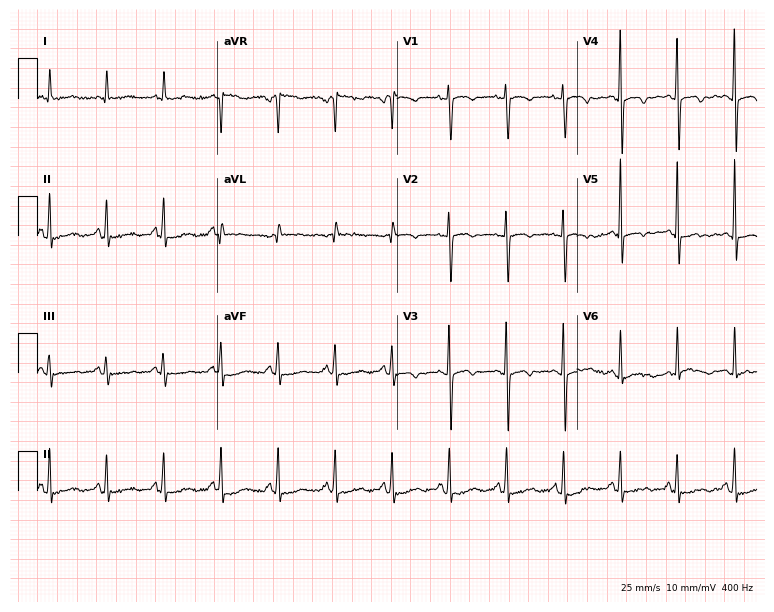
12-lead ECG from a female patient, 67 years old. Shows sinus tachycardia (a sinus rate of 100 beats per minute or more).